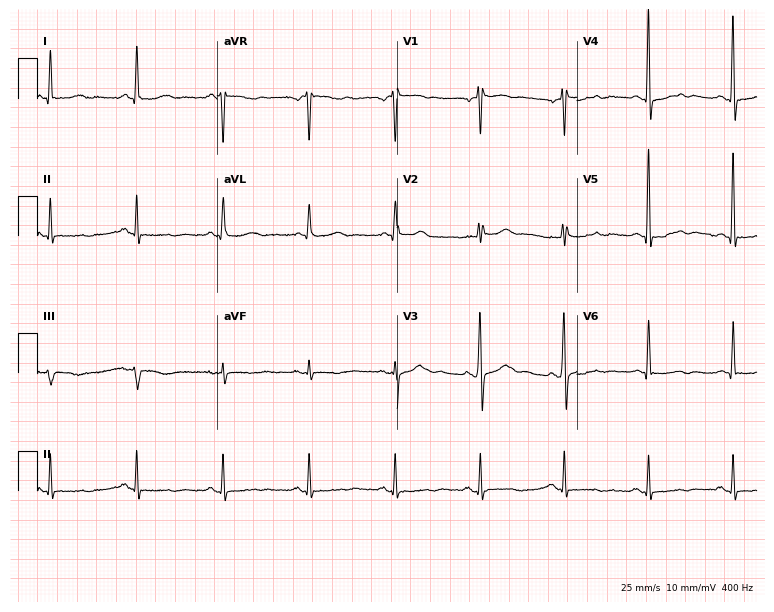
12-lead ECG from a 49-year-old man. Screened for six findings — first-degree AV block, right bundle branch block, left bundle branch block, sinus bradycardia, atrial fibrillation, sinus tachycardia — none is recorded. Findings outside these six are not listed.